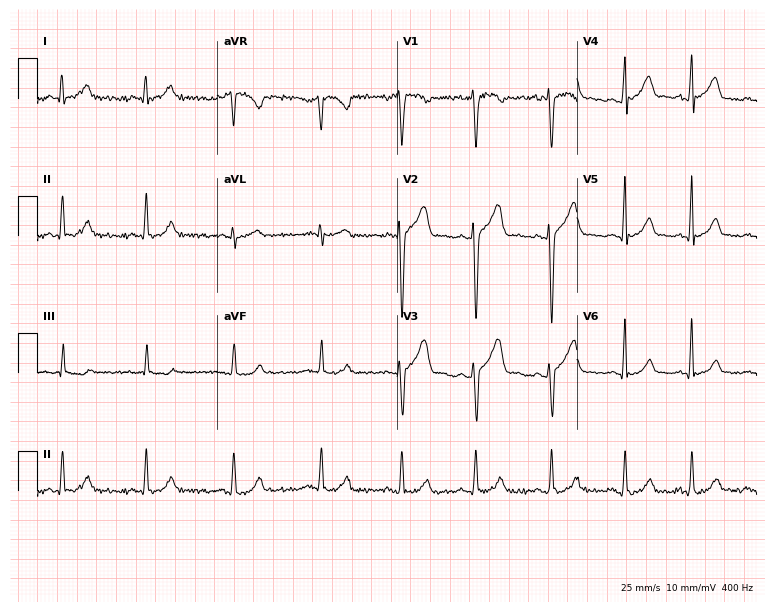
Resting 12-lead electrocardiogram. Patient: a 21-year-old male. None of these six findings is recorded: first-degree AV block, right bundle branch block, left bundle branch block, sinus bradycardia, atrial fibrillation, sinus tachycardia. Findings outside these six are not listed.